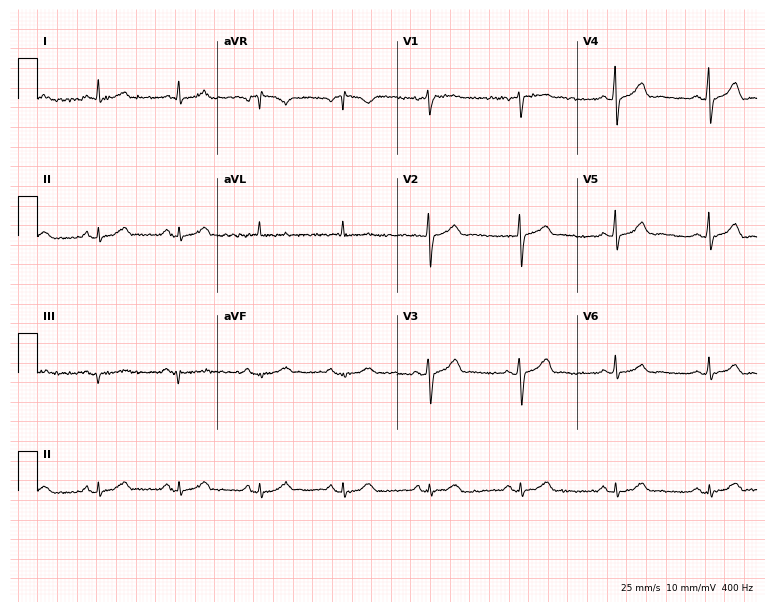
Electrocardiogram (7.3-second recording at 400 Hz), a 57-year-old male patient. Overall reading on record: normal ECG.